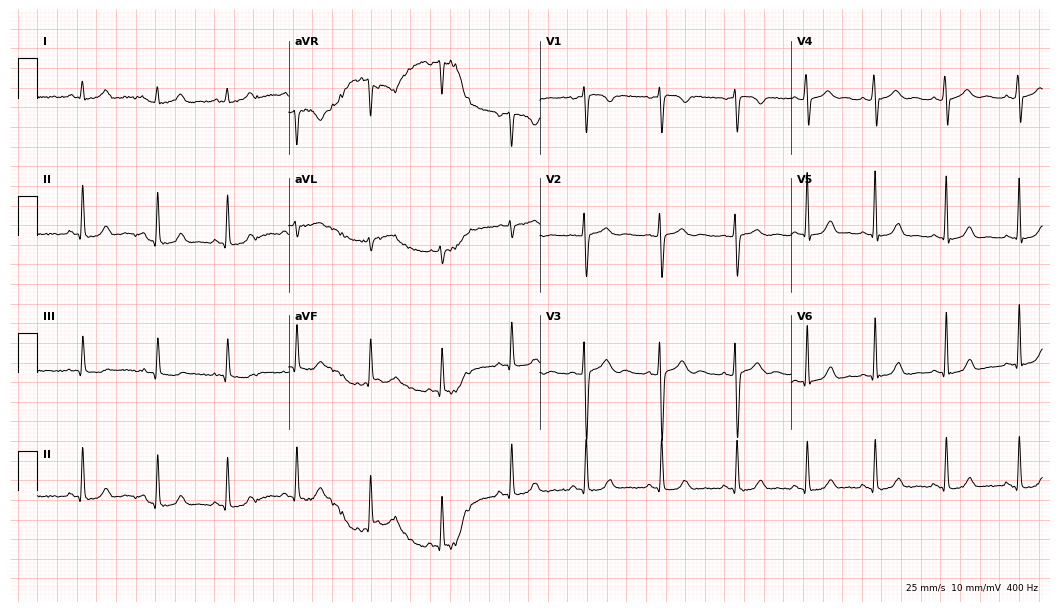
Electrocardiogram, a female patient, 20 years old. Overall reading on record: normal ECG.